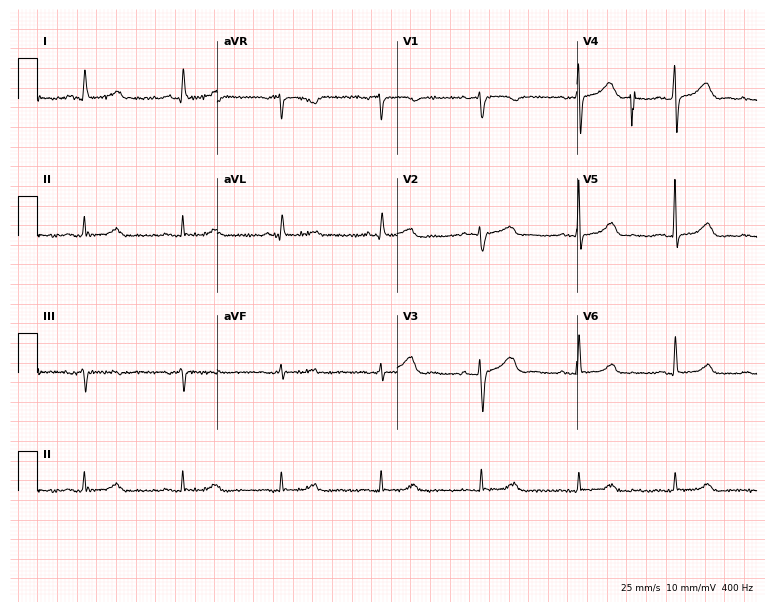
Standard 12-lead ECG recorded from a 62-year-old female patient. Read as a normal ECG.